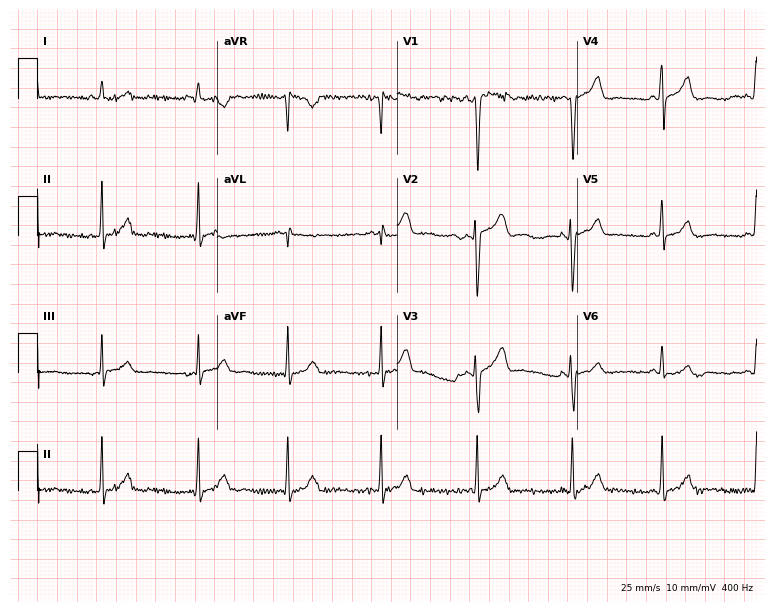
Standard 12-lead ECG recorded from a man, 18 years old (7.3-second recording at 400 Hz). None of these six findings is recorded: first-degree AV block, right bundle branch block, left bundle branch block, sinus bradycardia, atrial fibrillation, sinus tachycardia. Only these six findings were labelled.